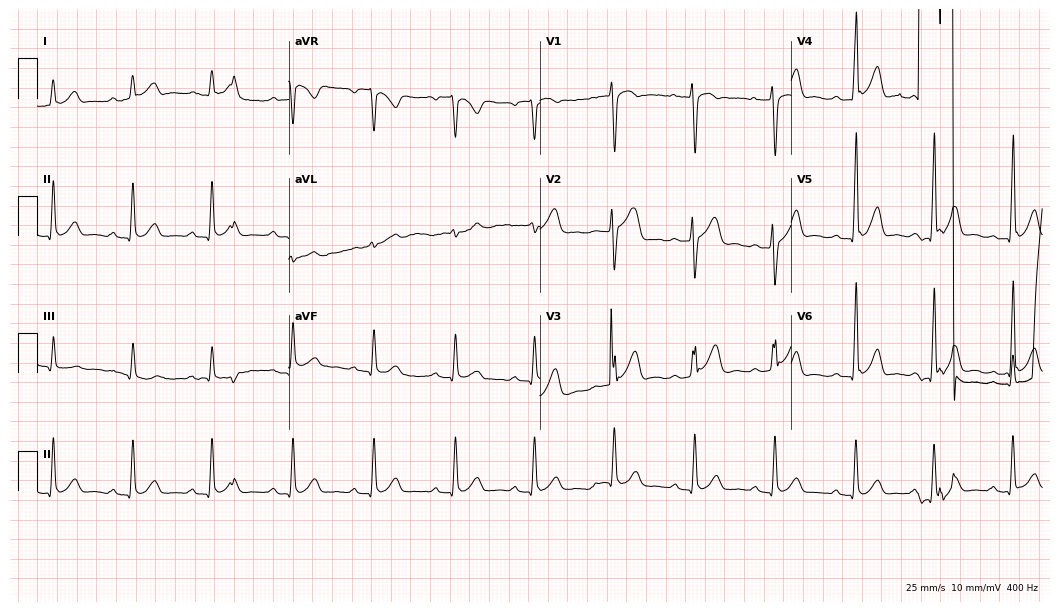
ECG (10.2-second recording at 400 Hz) — a man, 23 years old. Screened for six findings — first-degree AV block, right bundle branch block, left bundle branch block, sinus bradycardia, atrial fibrillation, sinus tachycardia — none is recorded. Other findings, if any, are not listed.